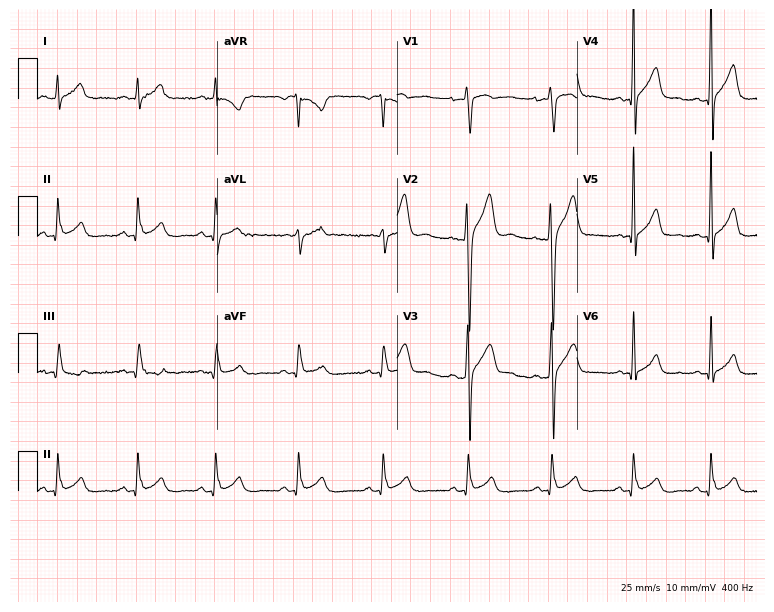
12-lead ECG (7.3-second recording at 400 Hz) from a 22-year-old male patient. Screened for six findings — first-degree AV block, right bundle branch block, left bundle branch block, sinus bradycardia, atrial fibrillation, sinus tachycardia — none is recorded. Other findings, if any, are not listed.